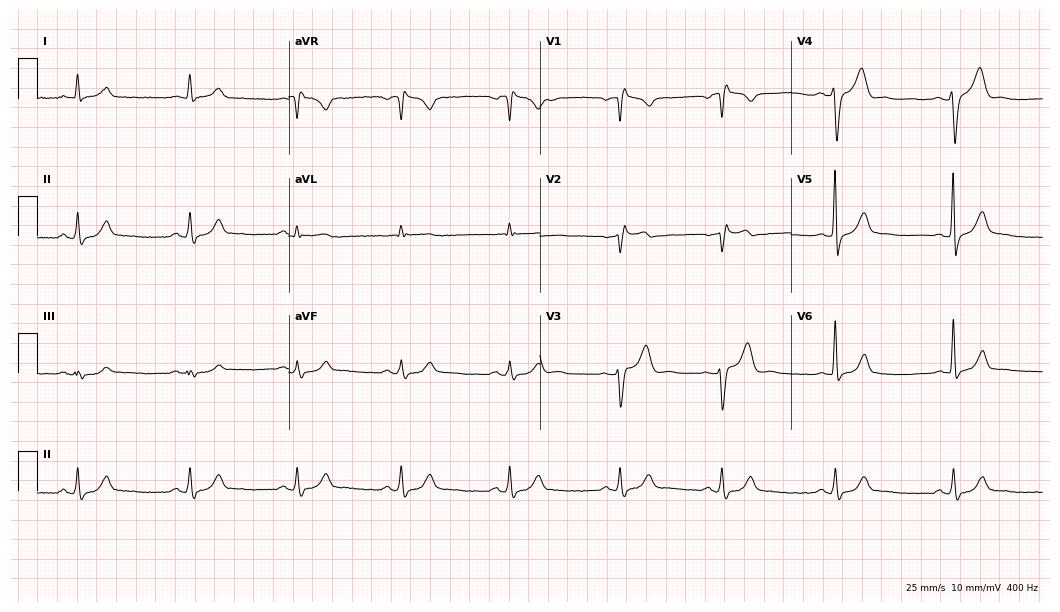
12-lead ECG from a male patient, 51 years old. Findings include right bundle branch block (RBBB).